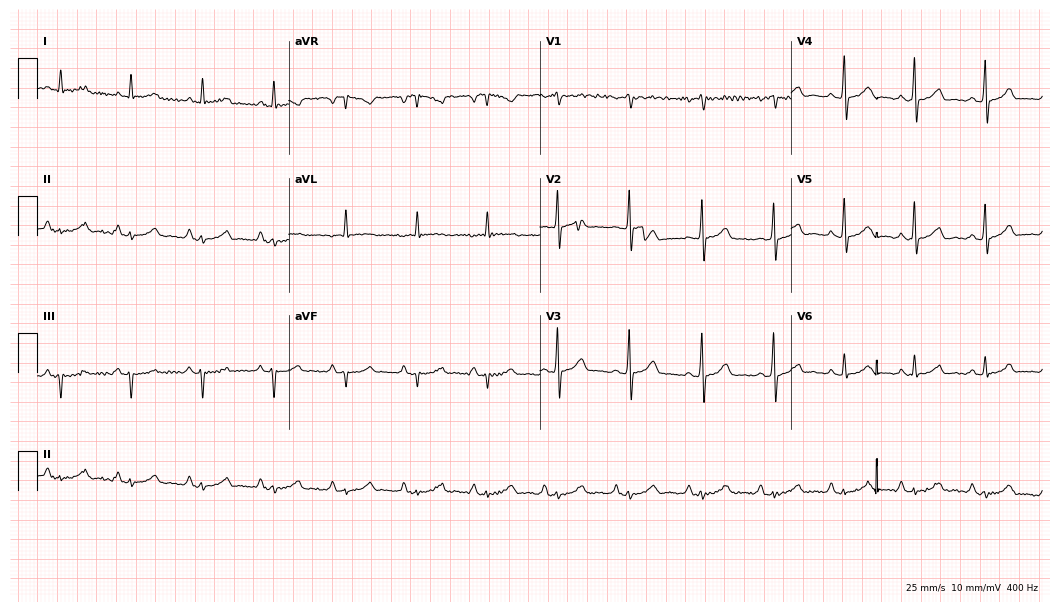
12-lead ECG from a man, 63 years old. No first-degree AV block, right bundle branch block, left bundle branch block, sinus bradycardia, atrial fibrillation or sinus tachycardia recorded for this tracing.